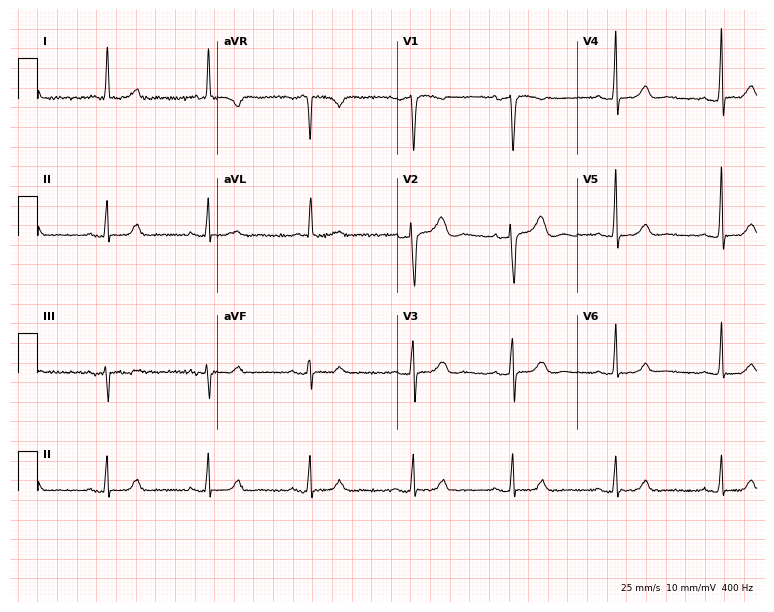
Standard 12-lead ECG recorded from a 73-year-old female. None of these six findings is recorded: first-degree AV block, right bundle branch block (RBBB), left bundle branch block (LBBB), sinus bradycardia, atrial fibrillation (AF), sinus tachycardia.